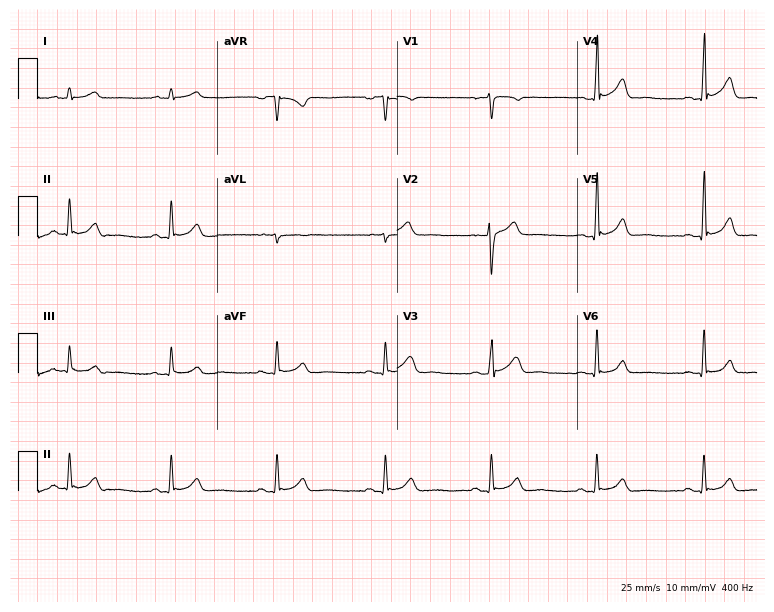
ECG (7.3-second recording at 400 Hz) — a male, 36 years old. Screened for six findings — first-degree AV block, right bundle branch block, left bundle branch block, sinus bradycardia, atrial fibrillation, sinus tachycardia — none is recorded.